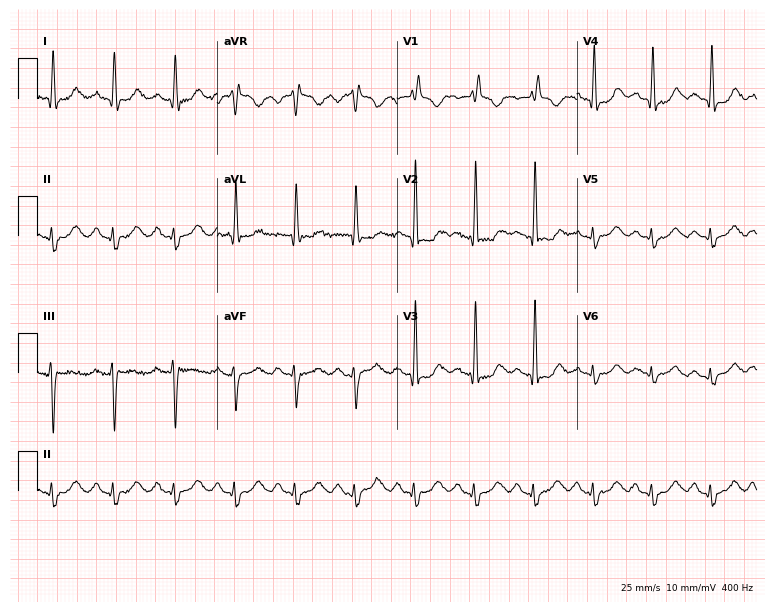
Standard 12-lead ECG recorded from a 54-year-old female (7.3-second recording at 400 Hz). The tracing shows first-degree AV block.